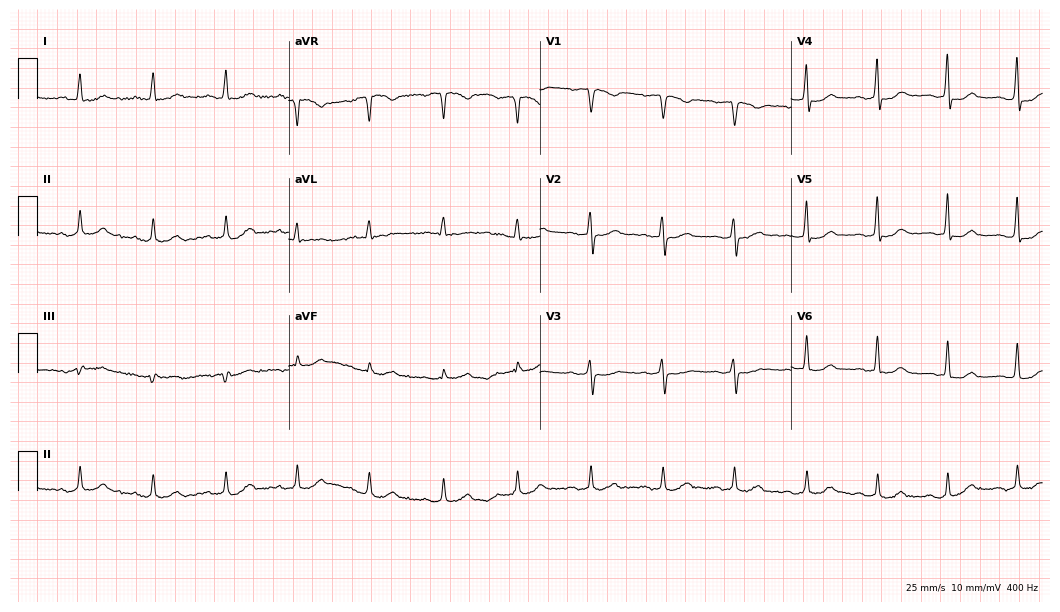
12-lead ECG from a 41-year-old female patient (10.2-second recording at 400 Hz). No first-degree AV block, right bundle branch block, left bundle branch block, sinus bradycardia, atrial fibrillation or sinus tachycardia recorded for this tracing. Only these six findings were labelled.